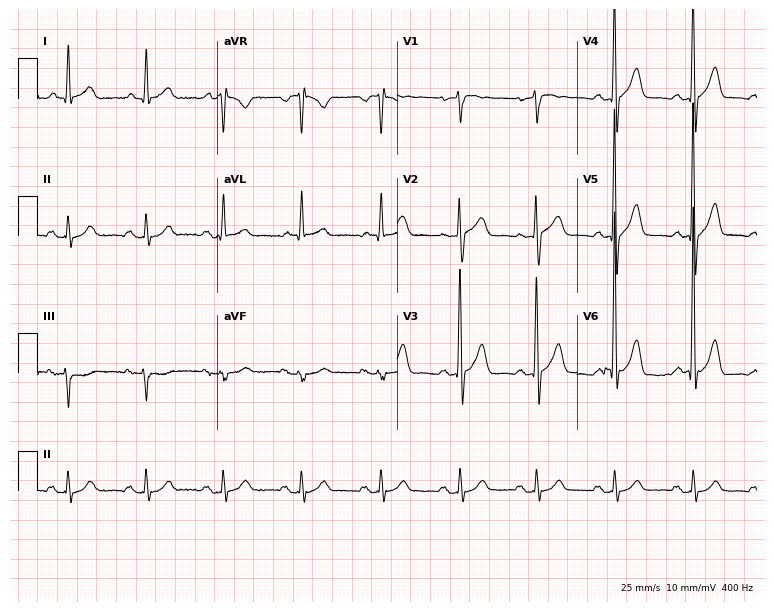
Resting 12-lead electrocardiogram (7.3-second recording at 400 Hz). Patient: a male, 69 years old. Read as a normal ECG.